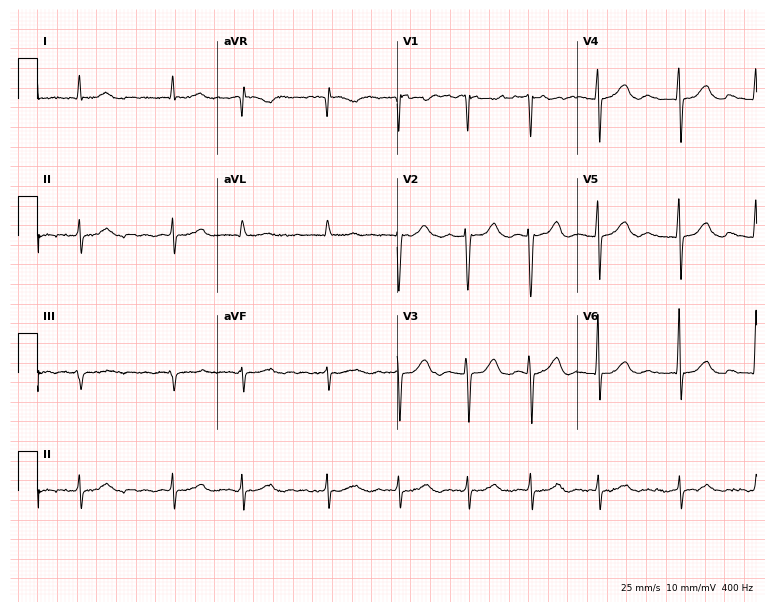
Standard 12-lead ECG recorded from an 85-year-old female patient. The tracing shows atrial fibrillation.